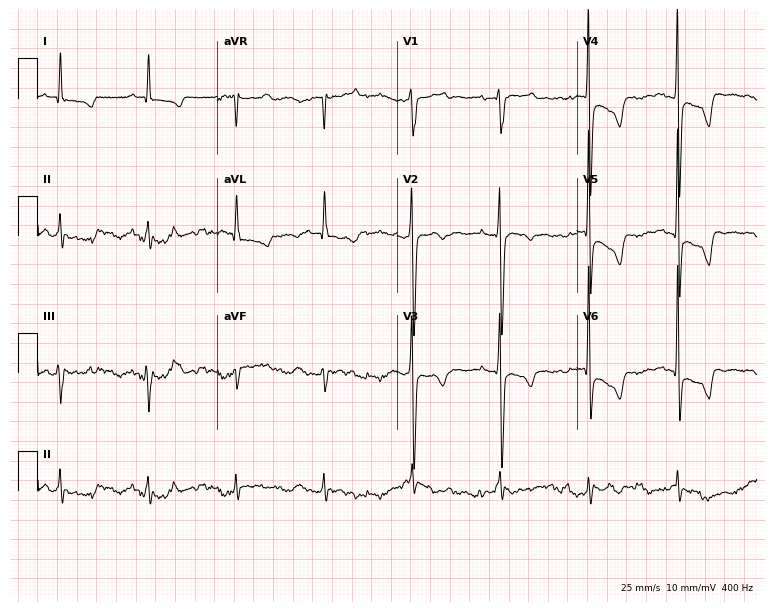
Electrocardiogram, an 83-year-old male patient. Of the six screened findings (first-degree AV block, right bundle branch block, left bundle branch block, sinus bradycardia, atrial fibrillation, sinus tachycardia), none is recorded. Only these six findings were labelled.